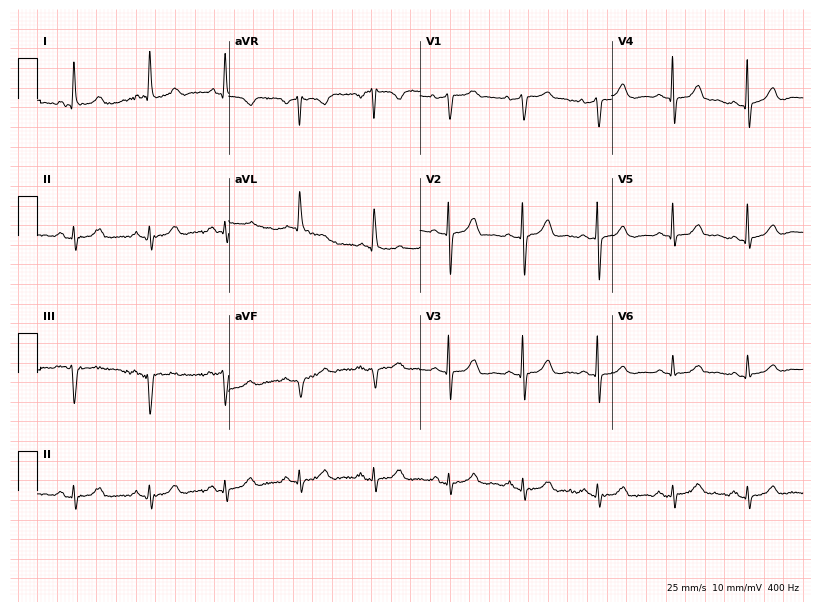
Electrocardiogram, an 80-year-old female. Overall reading on record: normal ECG.